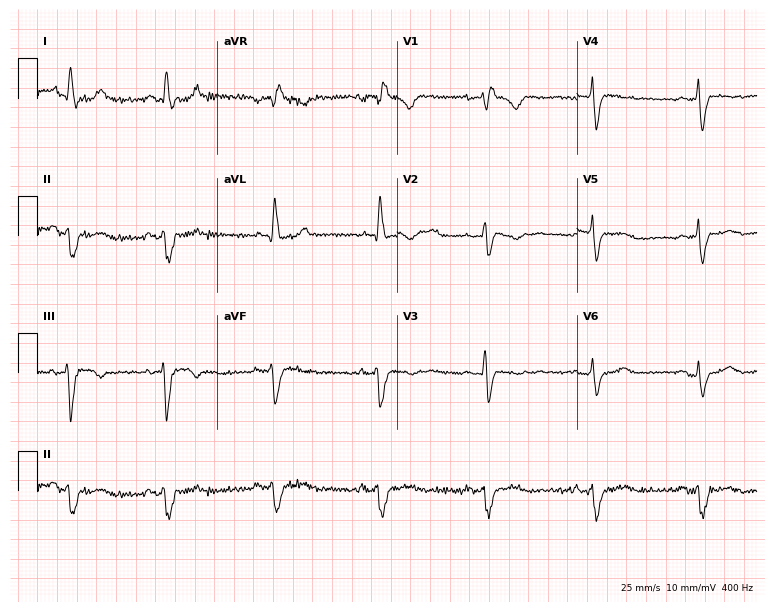
12-lead ECG from a woman, 43 years old. Shows right bundle branch block (RBBB).